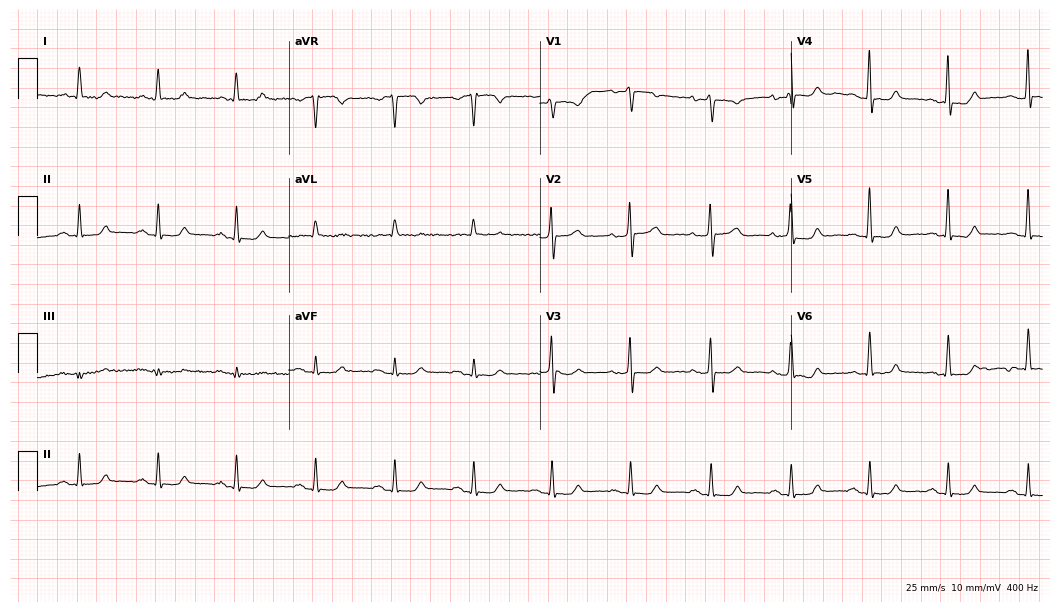
12-lead ECG from a female patient, 75 years old (10.2-second recording at 400 Hz). Recorded interpretation: within normal limits.